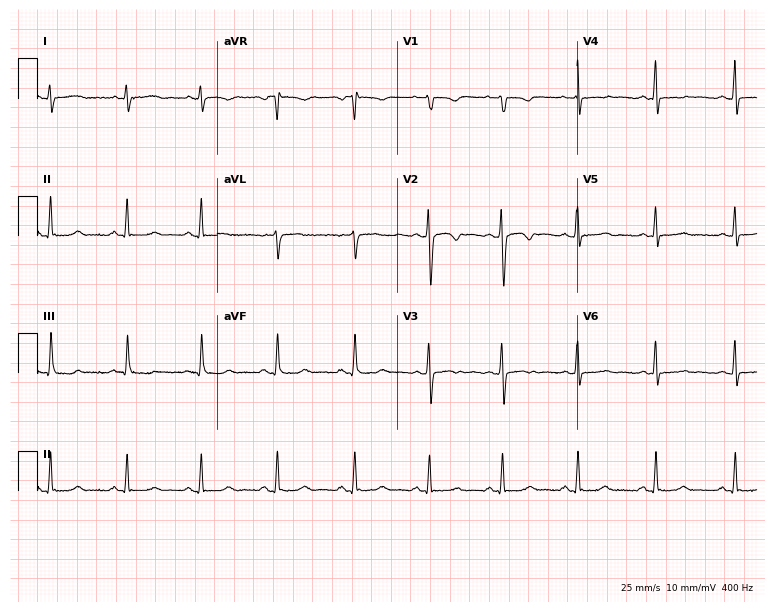
Standard 12-lead ECG recorded from a 22-year-old female (7.3-second recording at 400 Hz). Read as a normal ECG.